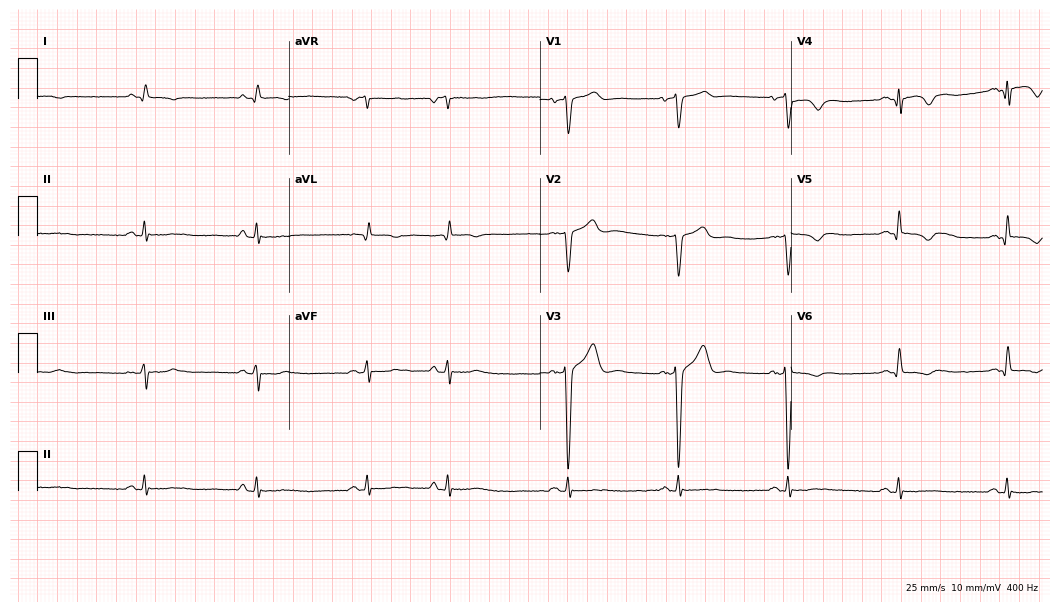
12-lead ECG from a 61-year-old male patient (10.2-second recording at 400 Hz). Shows sinus bradycardia (a sinus rate of 50 beats per minute or less).